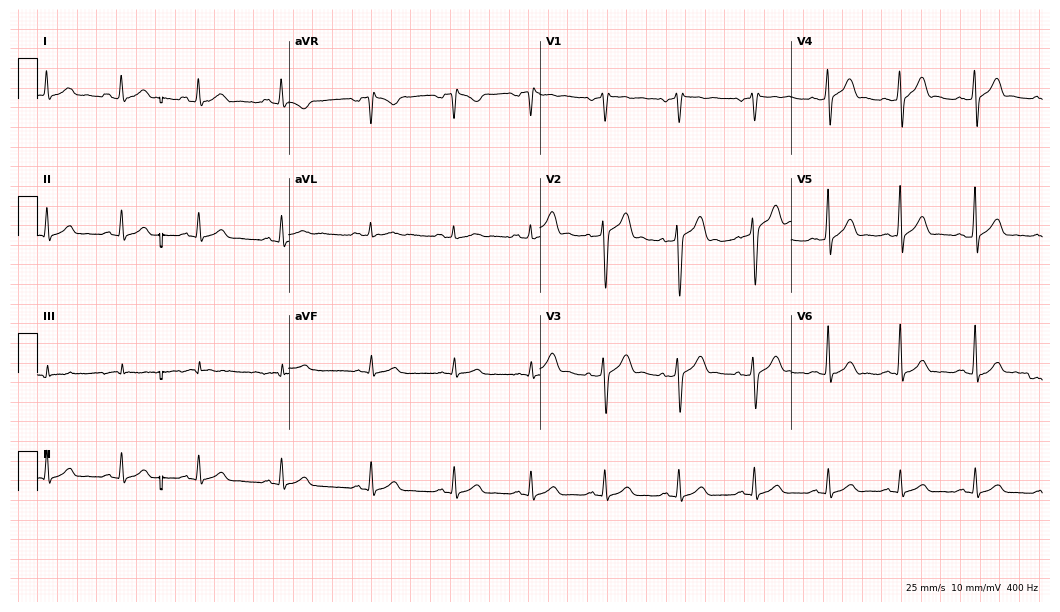
Standard 12-lead ECG recorded from a male, 38 years old (10.2-second recording at 400 Hz). None of these six findings is recorded: first-degree AV block, right bundle branch block (RBBB), left bundle branch block (LBBB), sinus bradycardia, atrial fibrillation (AF), sinus tachycardia.